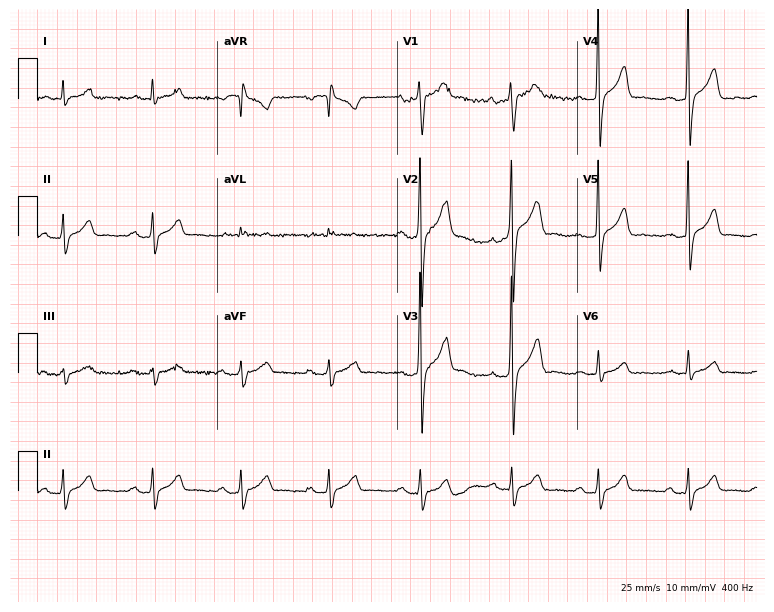
12-lead ECG from a 34-year-old man. Shows first-degree AV block.